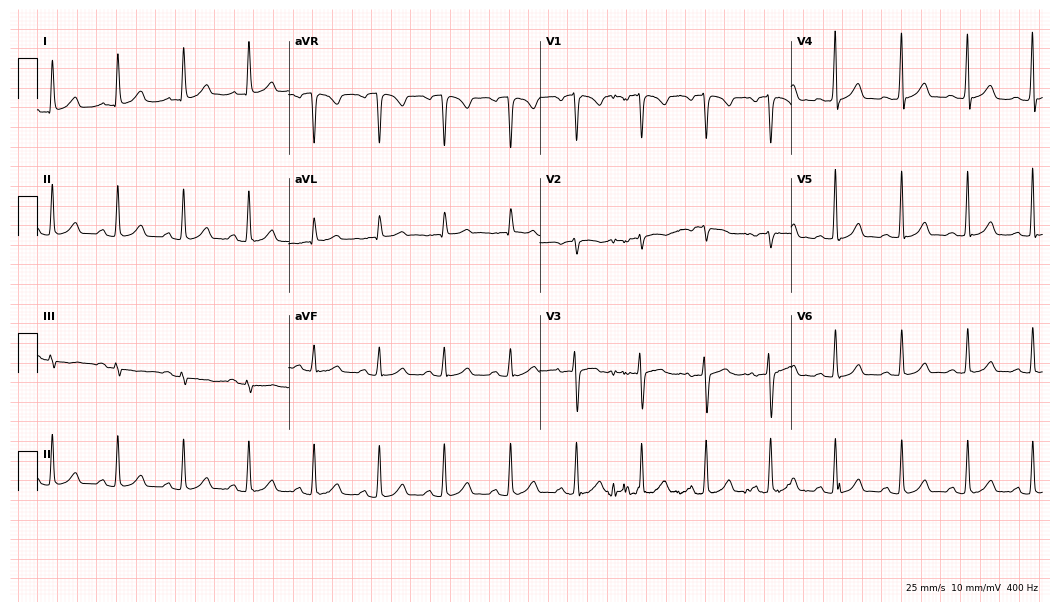
12-lead ECG (10.2-second recording at 400 Hz) from a 57-year-old woman. Labelled as a normal ECG.